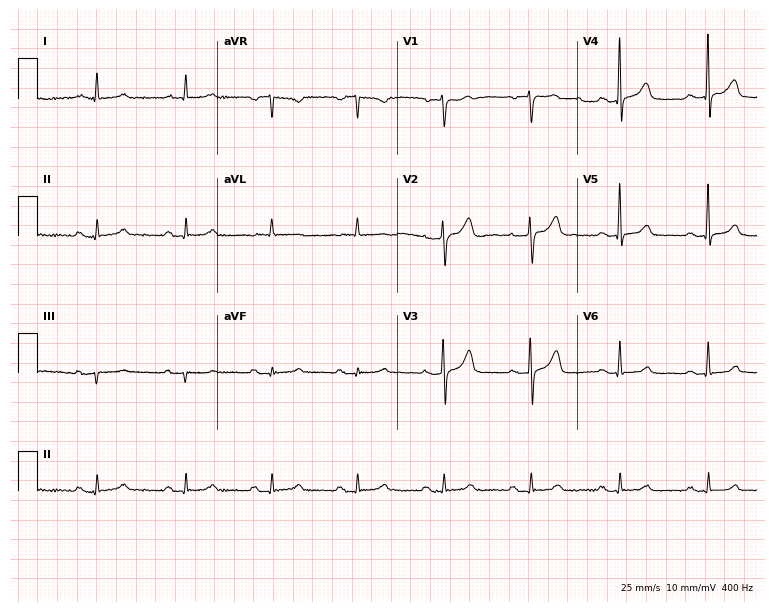
12-lead ECG from a male, 61 years old (7.3-second recording at 400 Hz). Recorded interpretation: within normal limits.